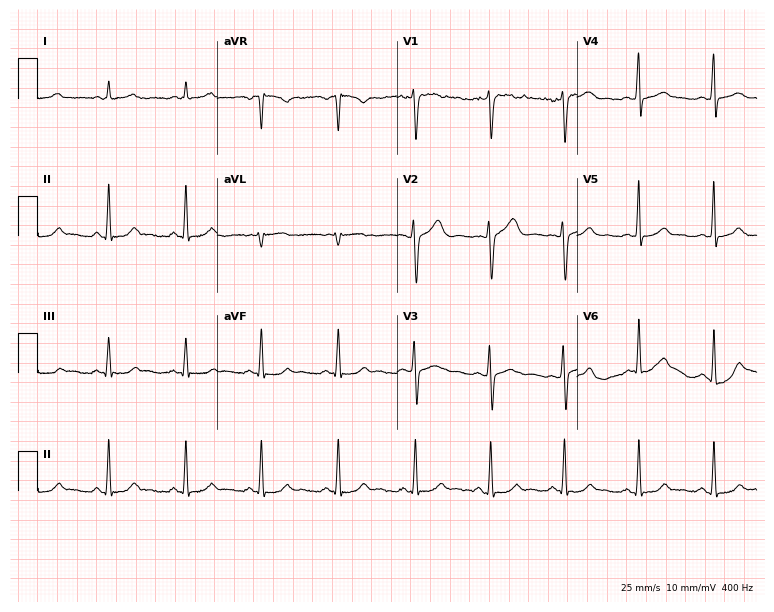
ECG — a female patient, 35 years old. Labelled as a normal ECG.